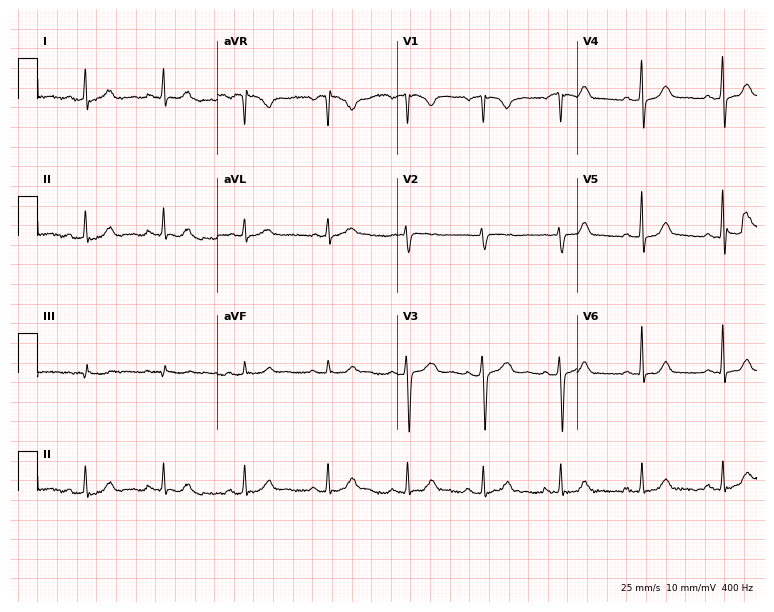
Standard 12-lead ECG recorded from a female patient, 27 years old. Read as a normal ECG.